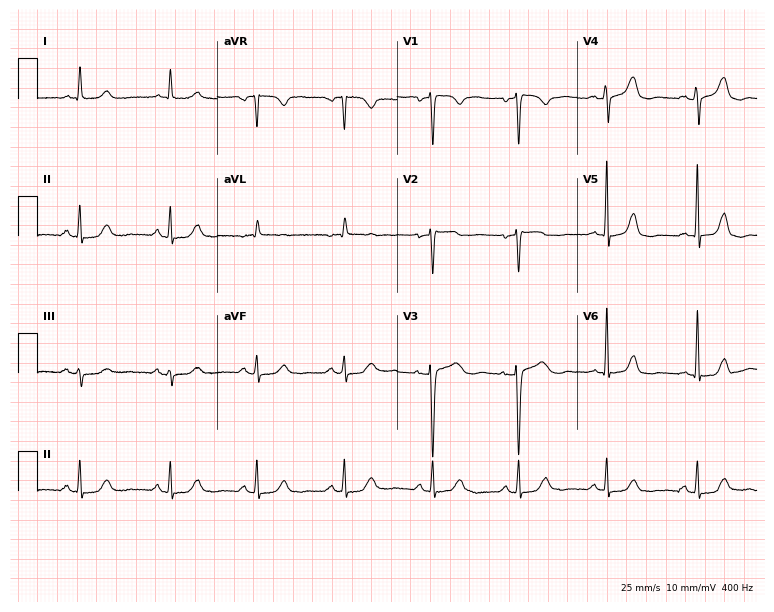
ECG — a female patient, 74 years old. Labelled as a normal ECG.